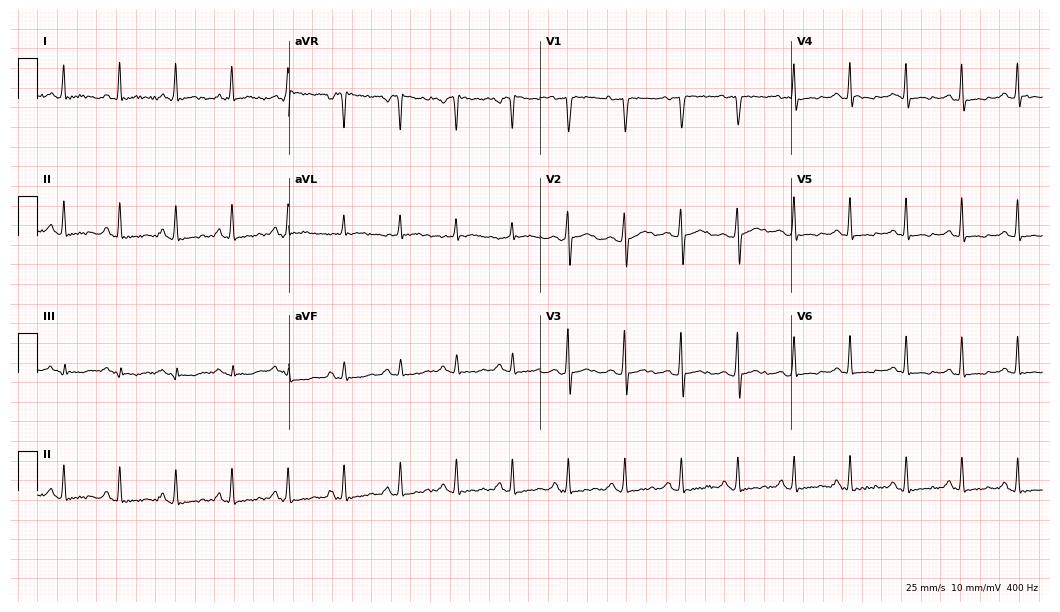
Standard 12-lead ECG recorded from a 60-year-old female. The tracing shows sinus tachycardia (a sinus rate of 100 beats per minute or more).